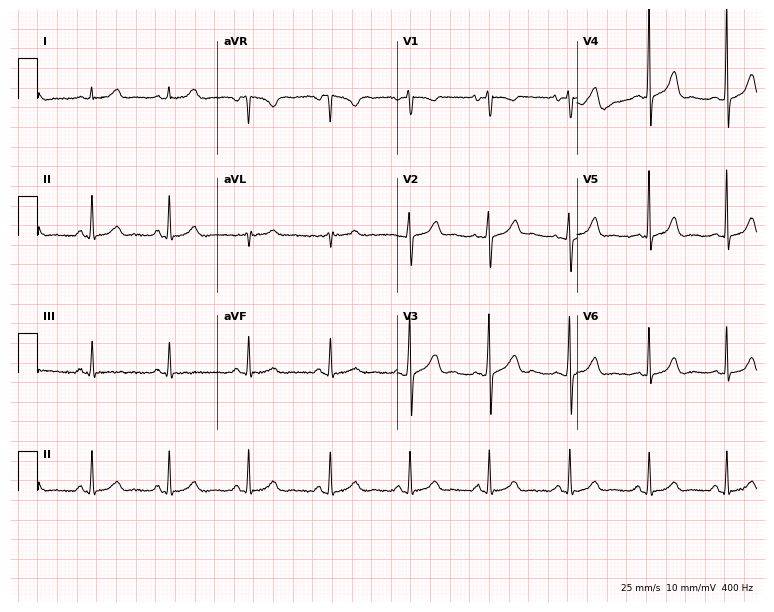
Electrocardiogram (7.3-second recording at 400 Hz), a 26-year-old female. Overall reading on record: normal ECG.